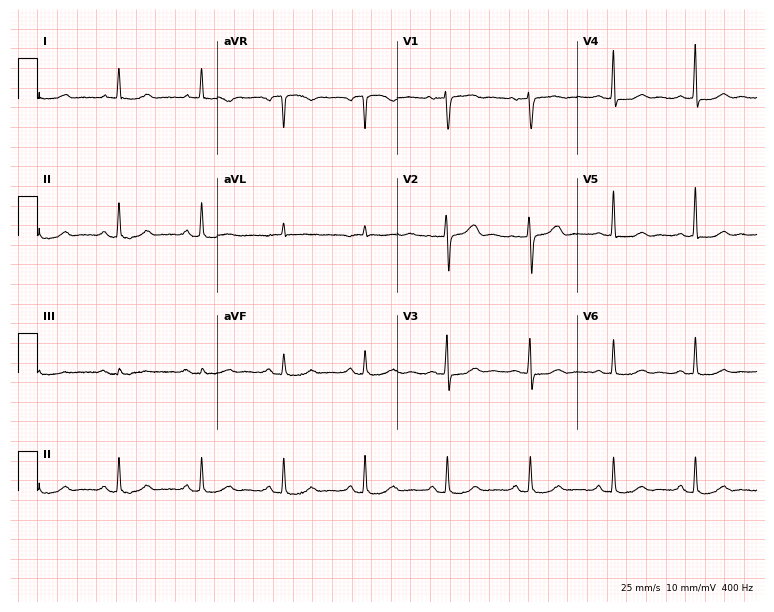
Electrocardiogram (7.3-second recording at 400 Hz), a 77-year-old female patient. Overall reading on record: normal ECG.